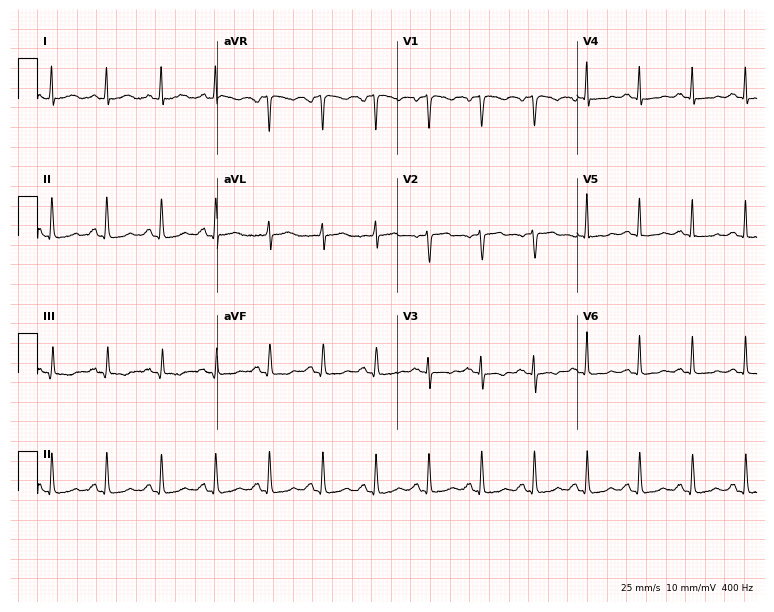
Electrocardiogram (7.3-second recording at 400 Hz), a female patient, 46 years old. Of the six screened findings (first-degree AV block, right bundle branch block, left bundle branch block, sinus bradycardia, atrial fibrillation, sinus tachycardia), none is recorded.